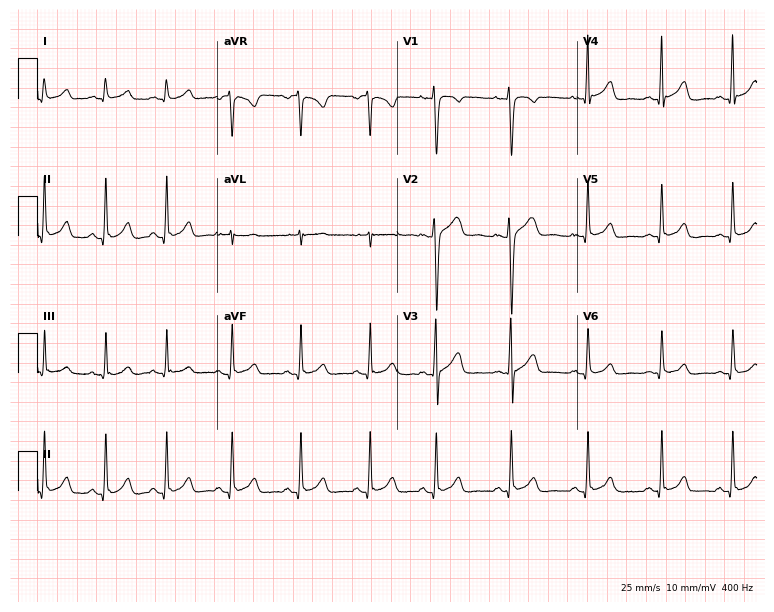
ECG (7.3-second recording at 400 Hz) — an 18-year-old woman. Screened for six findings — first-degree AV block, right bundle branch block, left bundle branch block, sinus bradycardia, atrial fibrillation, sinus tachycardia — none is recorded. Other findings, if any, are not listed.